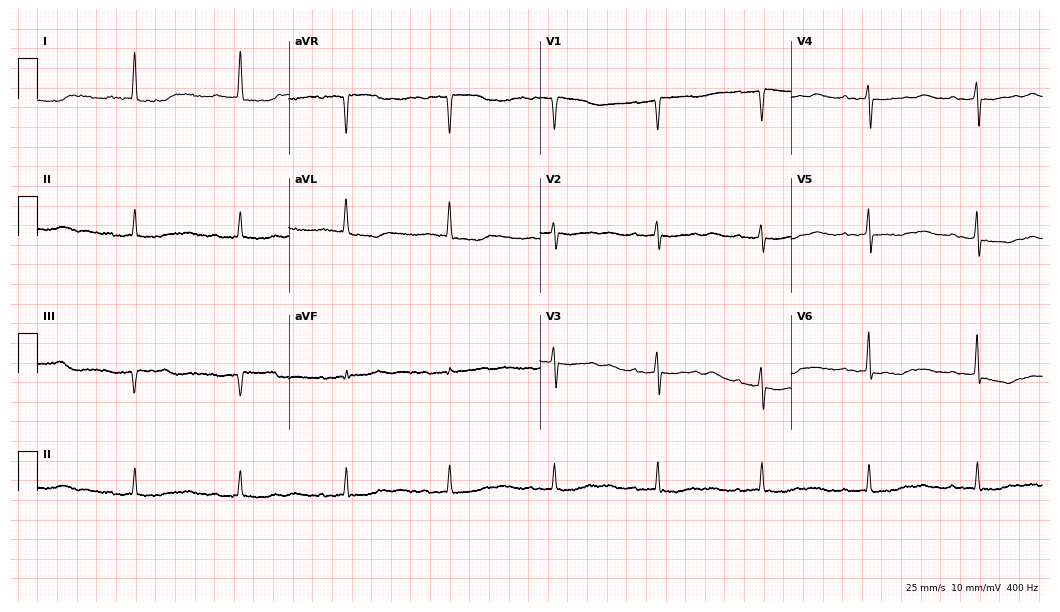
Standard 12-lead ECG recorded from a 67-year-old female patient. The tracing shows first-degree AV block.